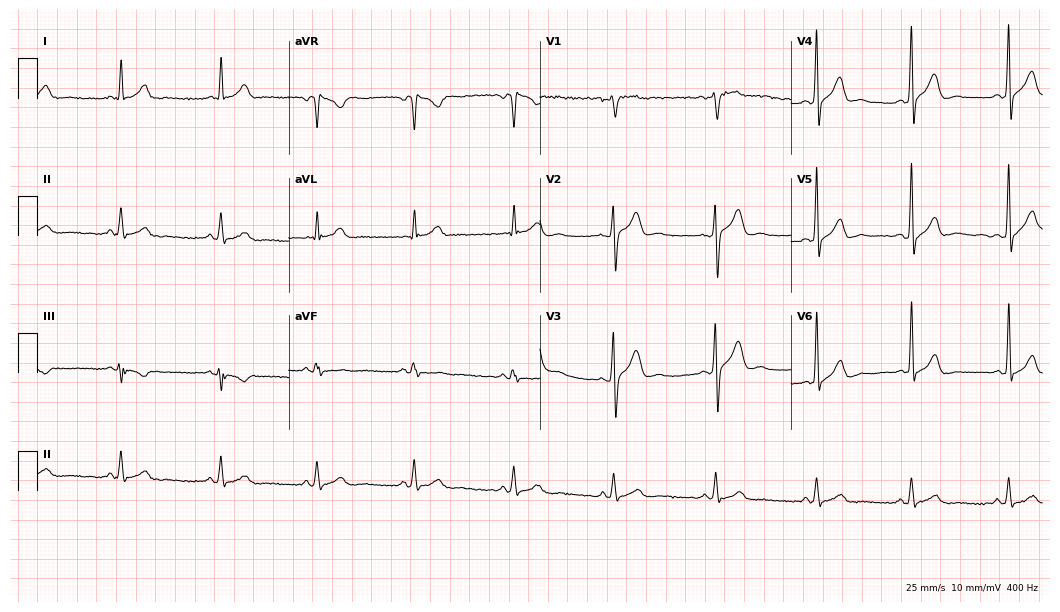
Electrocardiogram, a 42-year-old man. Of the six screened findings (first-degree AV block, right bundle branch block, left bundle branch block, sinus bradycardia, atrial fibrillation, sinus tachycardia), none is recorded.